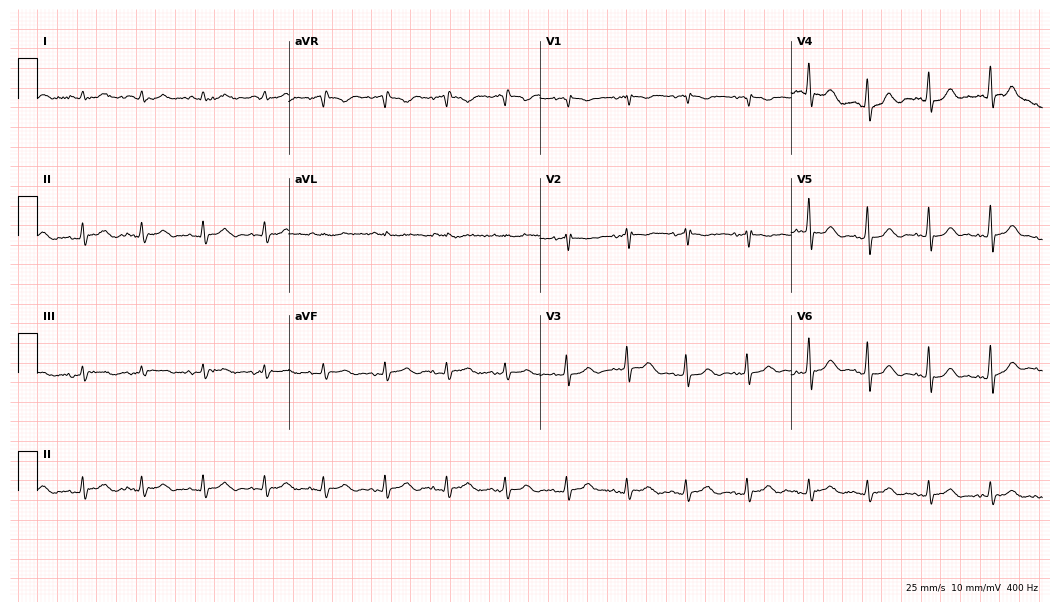
12-lead ECG (10.2-second recording at 400 Hz) from a male patient, 76 years old. Labelled as a normal ECG.